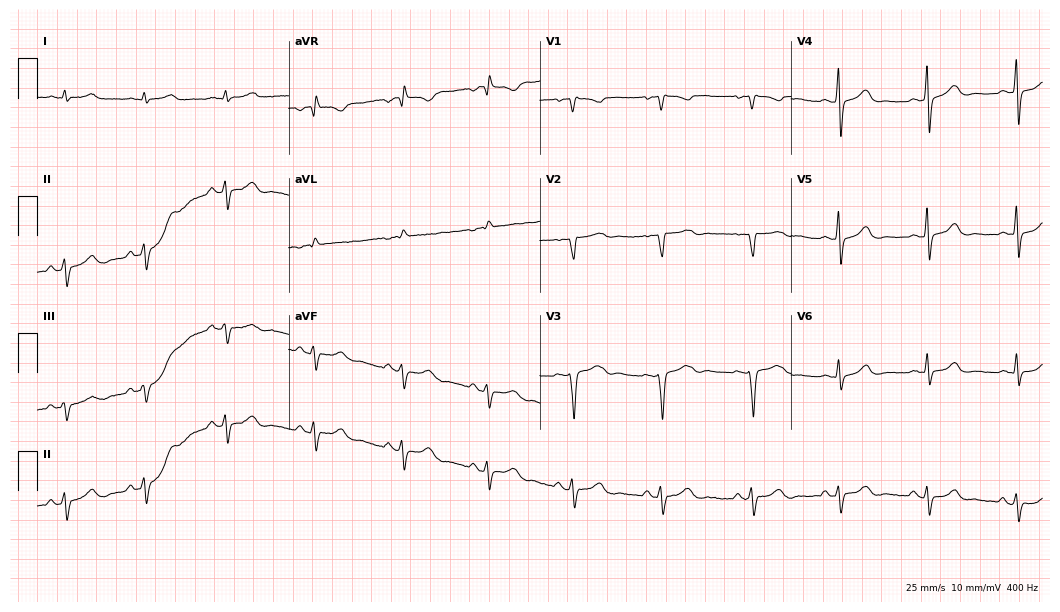
Resting 12-lead electrocardiogram (10.2-second recording at 400 Hz). Patient: a female, 29 years old. None of these six findings is recorded: first-degree AV block, right bundle branch block (RBBB), left bundle branch block (LBBB), sinus bradycardia, atrial fibrillation (AF), sinus tachycardia.